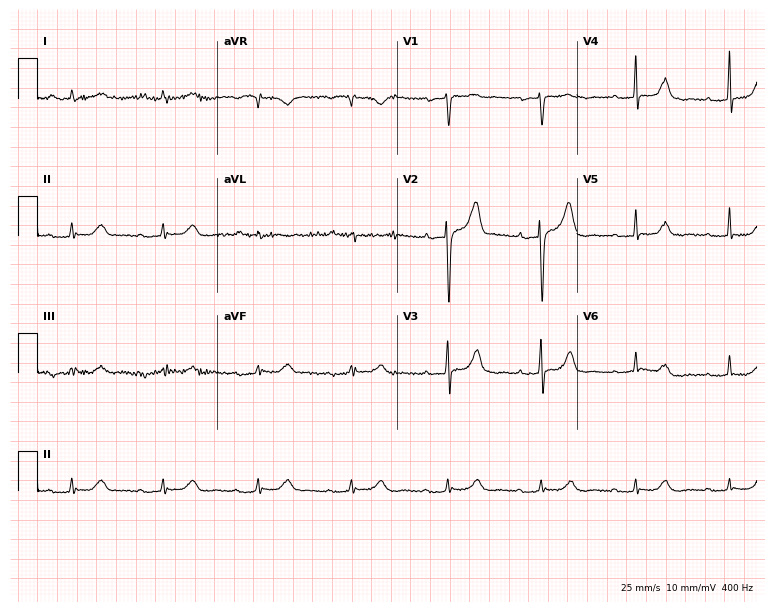
ECG (7.3-second recording at 400 Hz) — a female patient, 72 years old. Screened for six findings — first-degree AV block, right bundle branch block, left bundle branch block, sinus bradycardia, atrial fibrillation, sinus tachycardia — none is recorded. Only these six findings were labelled.